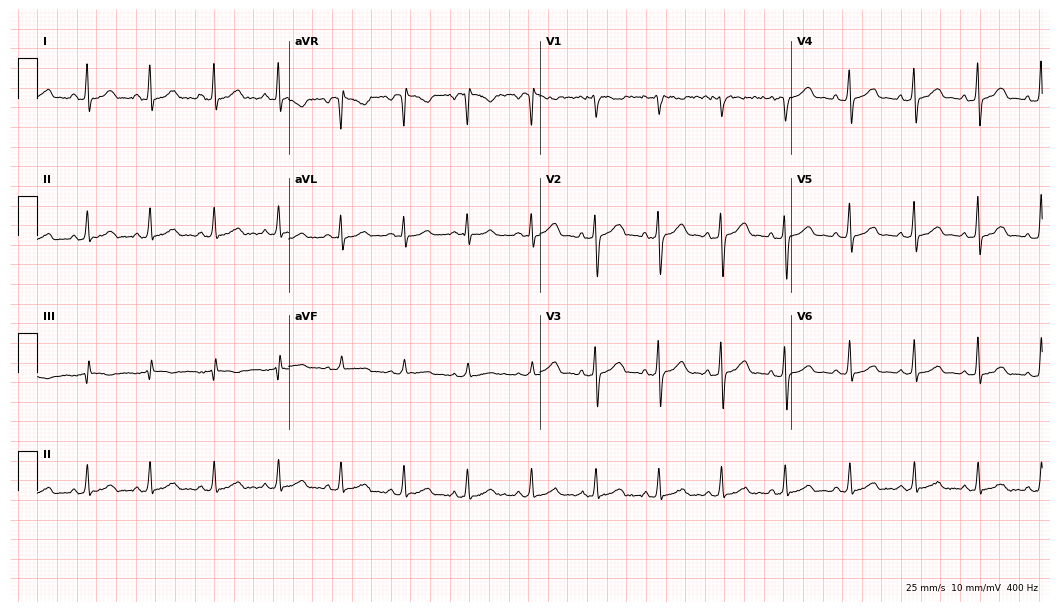
Resting 12-lead electrocardiogram. Patient: a 25-year-old female. None of these six findings is recorded: first-degree AV block, right bundle branch block, left bundle branch block, sinus bradycardia, atrial fibrillation, sinus tachycardia.